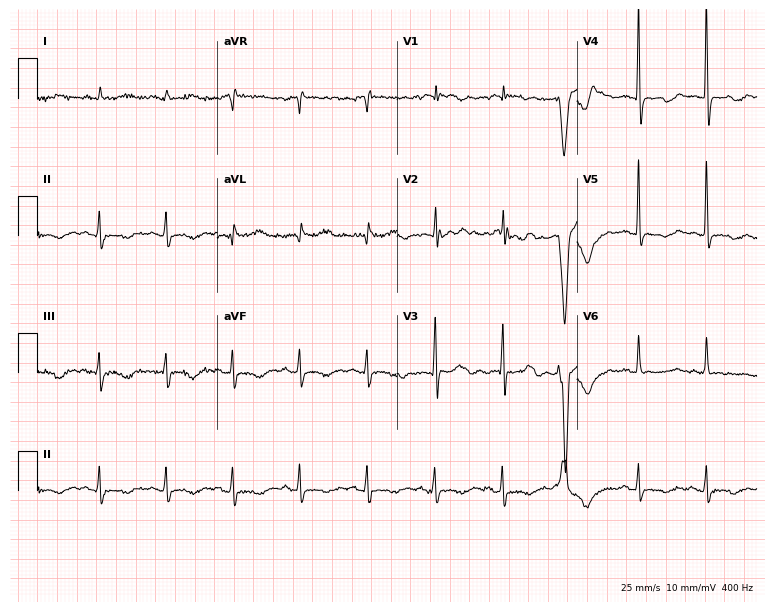
12-lead ECG from an 80-year-old female patient (7.3-second recording at 400 Hz). Recorded interpretation: within normal limits.